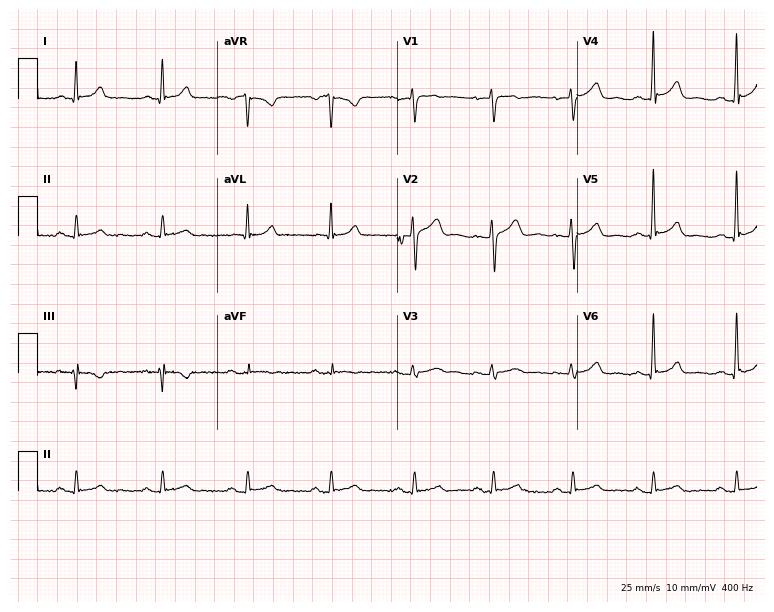
12-lead ECG (7.3-second recording at 400 Hz) from a male, 40 years old. Labelled as a normal ECG.